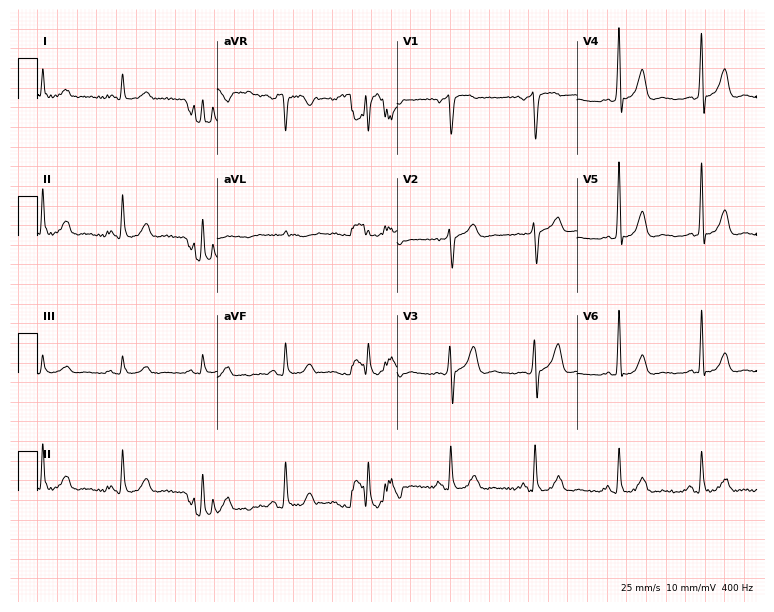
12-lead ECG from a 64-year-old male patient (7.3-second recording at 400 Hz). No first-degree AV block, right bundle branch block (RBBB), left bundle branch block (LBBB), sinus bradycardia, atrial fibrillation (AF) or sinus tachycardia recorded for this tracing.